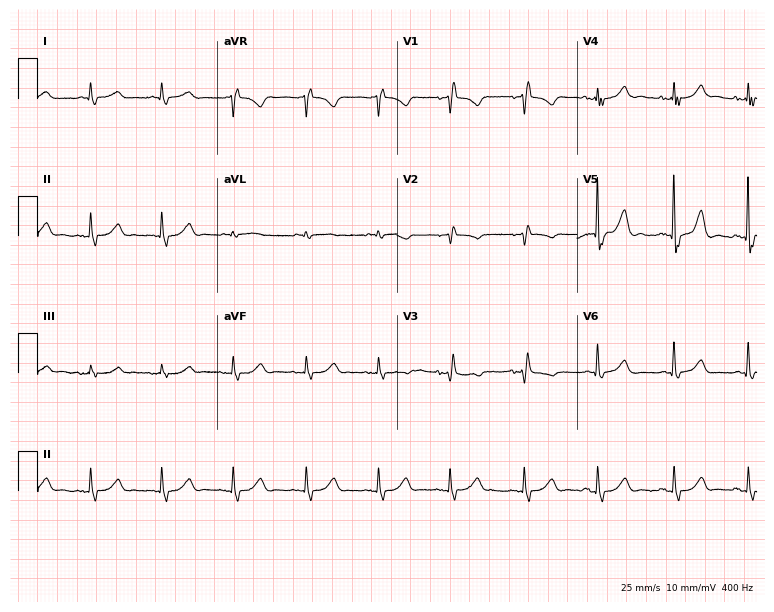
Electrocardiogram (7.3-second recording at 400 Hz), a woman, 74 years old. Of the six screened findings (first-degree AV block, right bundle branch block, left bundle branch block, sinus bradycardia, atrial fibrillation, sinus tachycardia), none is recorded.